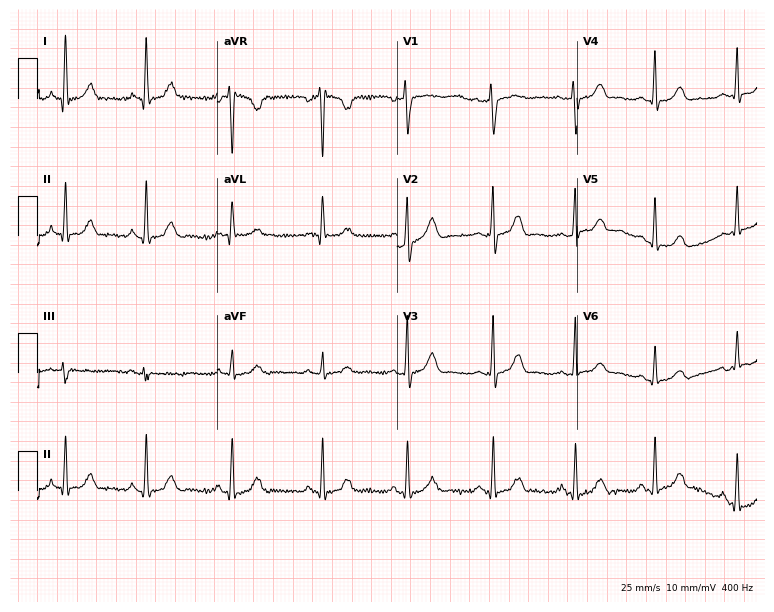
Electrocardiogram, a 46-year-old woman. Of the six screened findings (first-degree AV block, right bundle branch block, left bundle branch block, sinus bradycardia, atrial fibrillation, sinus tachycardia), none is recorded.